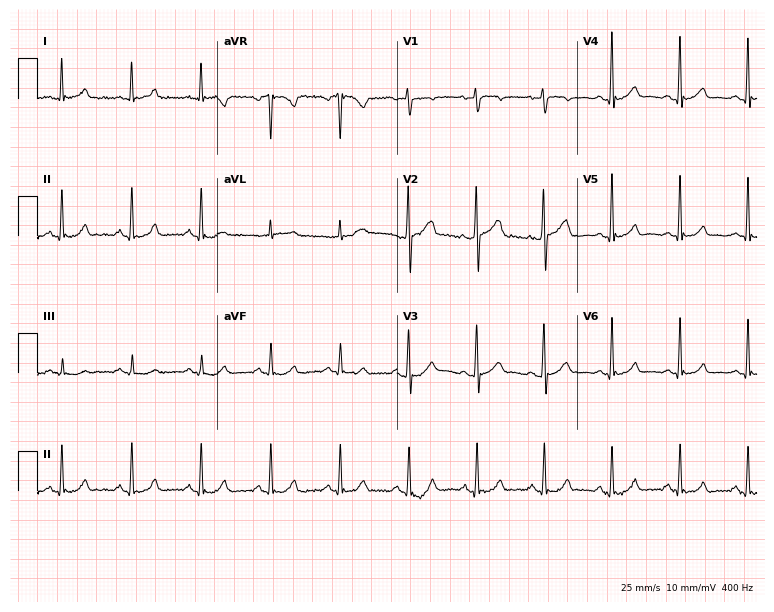
Standard 12-lead ECG recorded from a 68-year-old male. Read as a normal ECG.